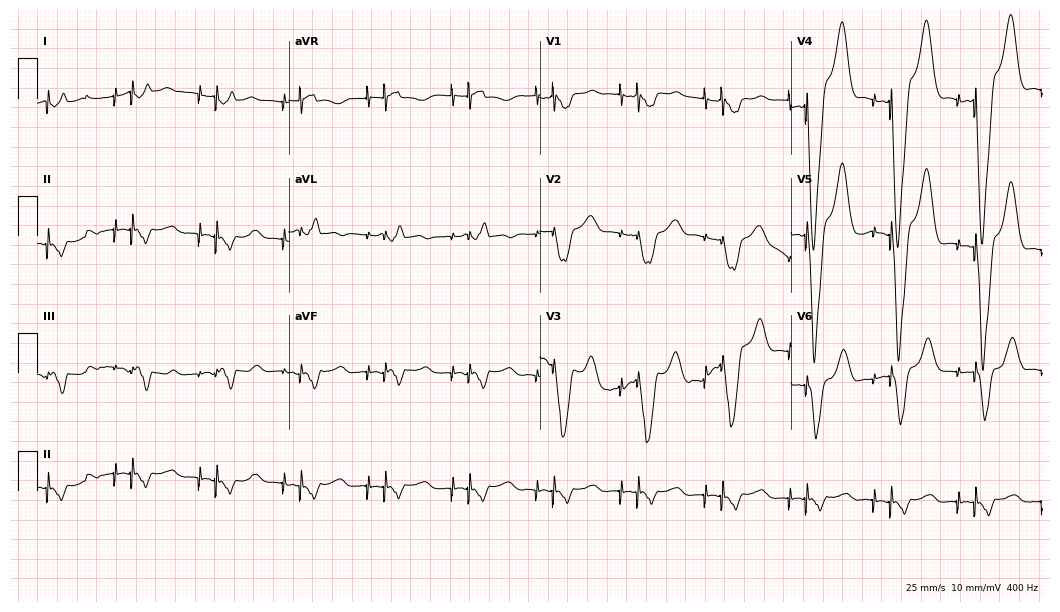
Electrocardiogram, a 72-year-old male patient. Of the six screened findings (first-degree AV block, right bundle branch block, left bundle branch block, sinus bradycardia, atrial fibrillation, sinus tachycardia), none is recorded. Other findings, if any, are not listed.